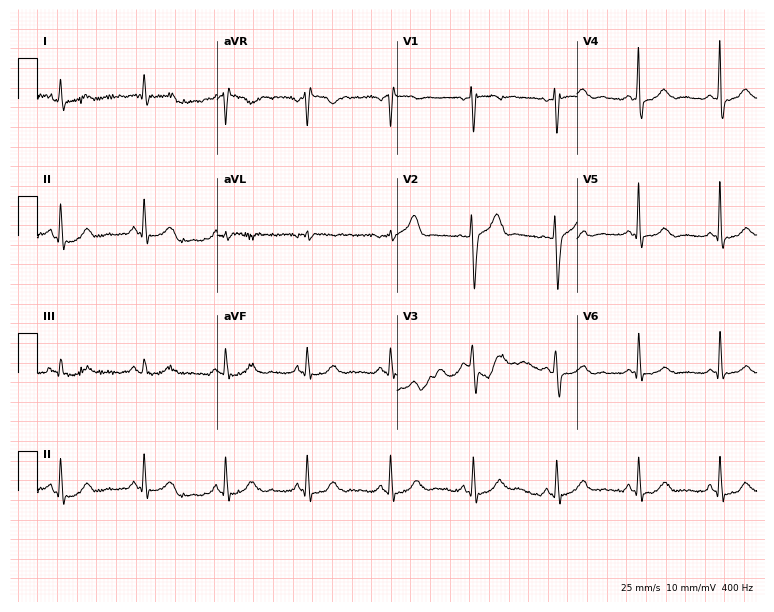
12-lead ECG from a man, 51 years old (7.3-second recording at 400 Hz). Recorded interpretation: within normal limits.